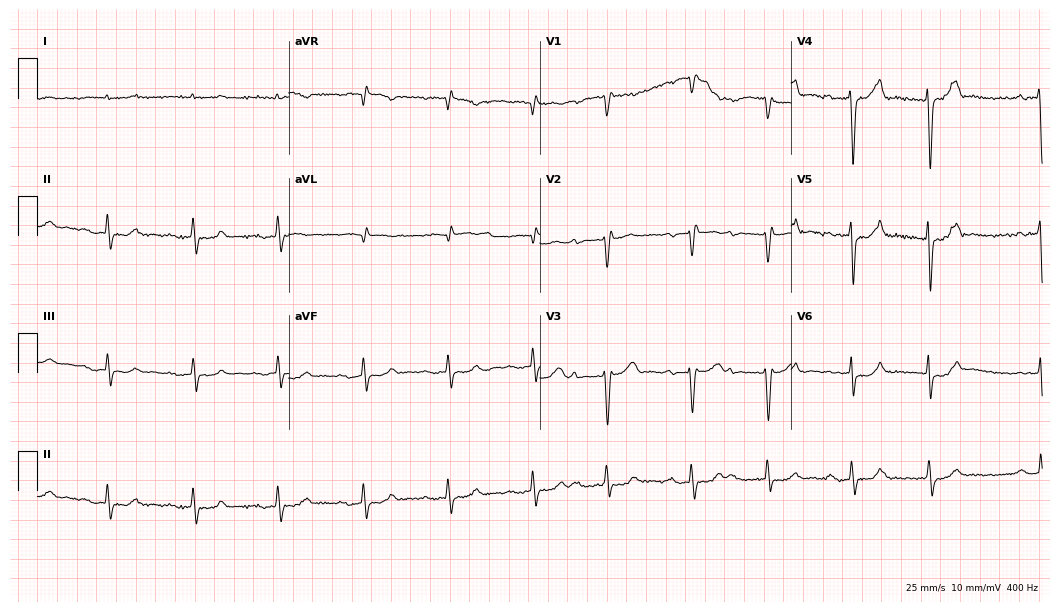
Standard 12-lead ECG recorded from an 84-year-old male (10.2-second recording at 400 Hz). The tracing shows first-degree AV block.